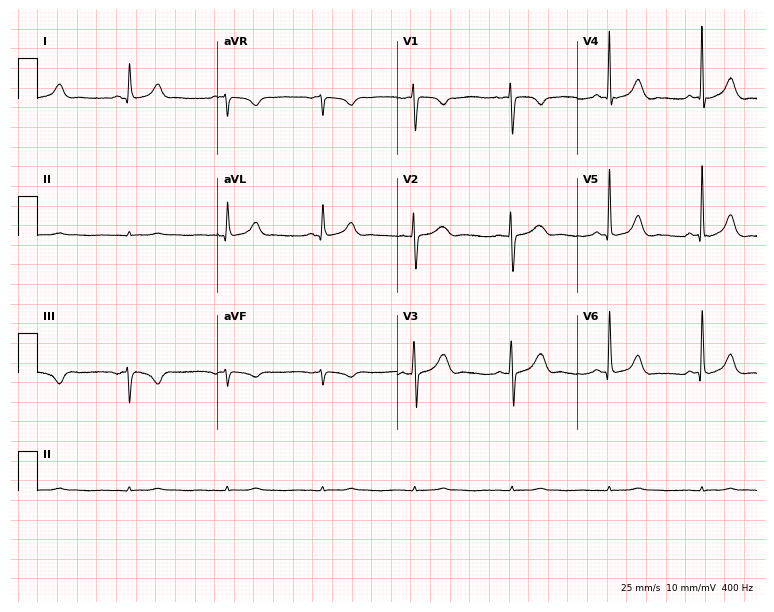
12-lead ECG from a female patient, 26 years old. Labelled as a normal ECG.